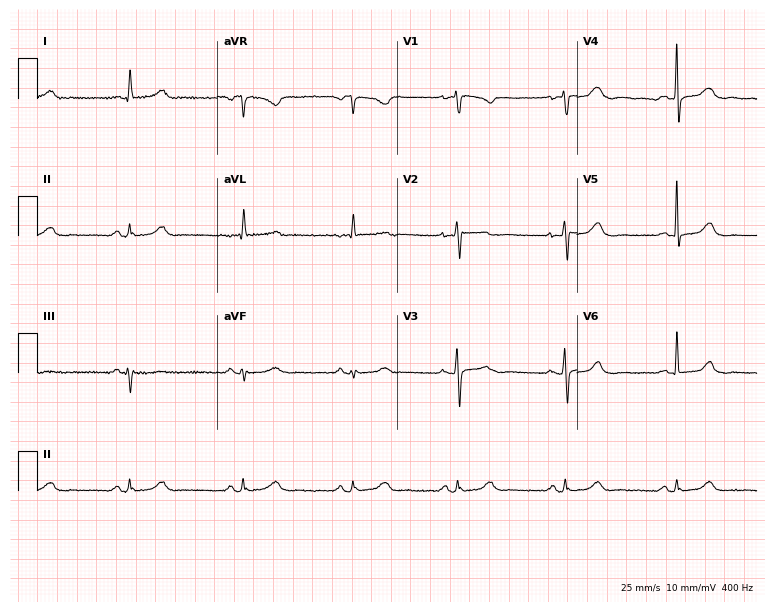
ECG — a 72-year-old woman. Labelled as a normal ECG.